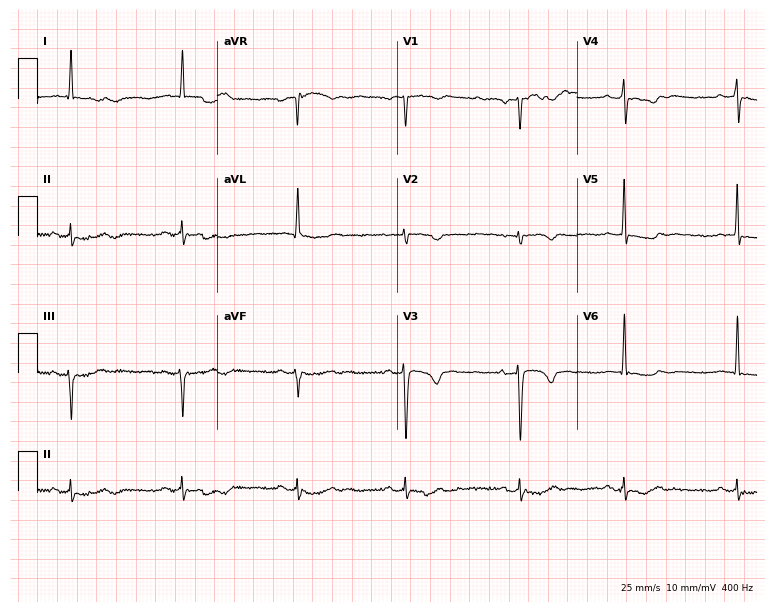
Standard 12-lead ECG recorded from a woman, 74 years old (7.3-second recording at 400 Hz). None of these six findings is recorded: first-degree AV block, right bundle branch block, left bundle branch block, sinus bradycardia, atrial fibrillation, sinus tachycardia. Only these six findings were labelled.